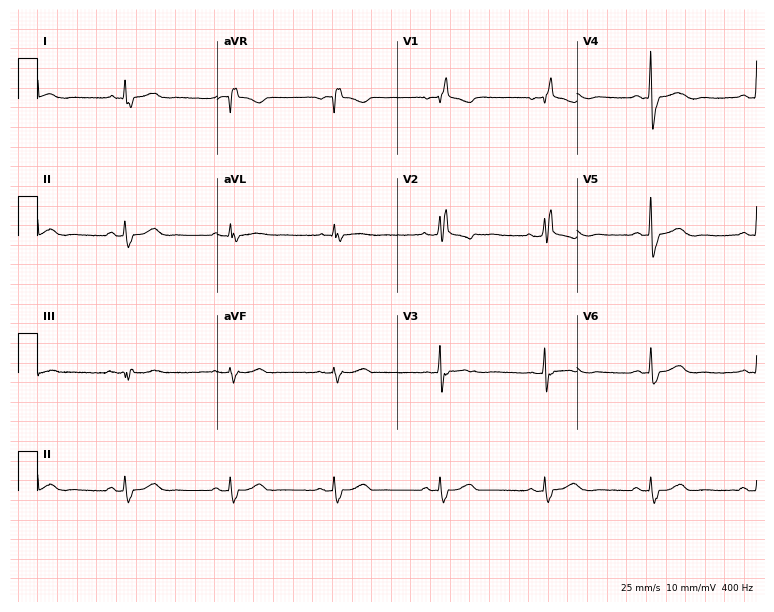
Standard 12-lead ECG recorded from an 83-year-old male patient (7.3-second recording at 400 Hz). The tracing shows right bundle branch block.